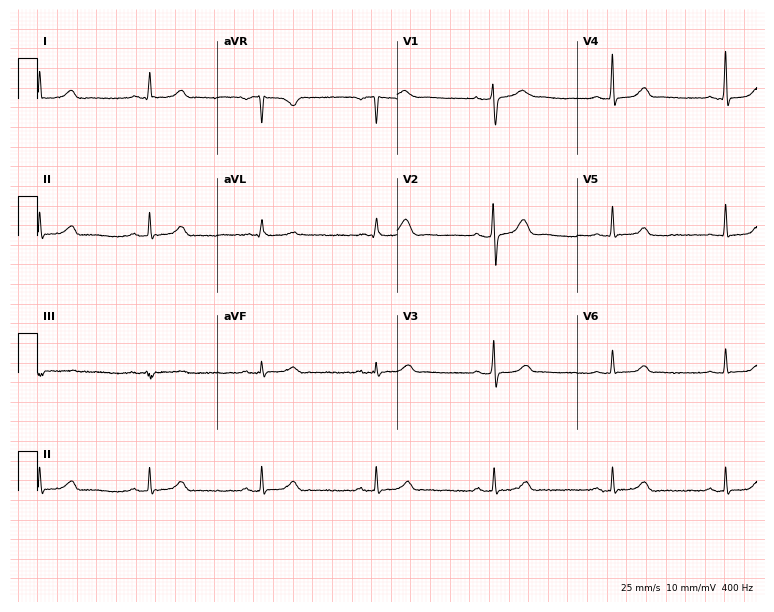
Standard 12-lead ECG recorded from a woman, 58 years old (7.3-second recording at 400 Hz). Read as a normal ECG.